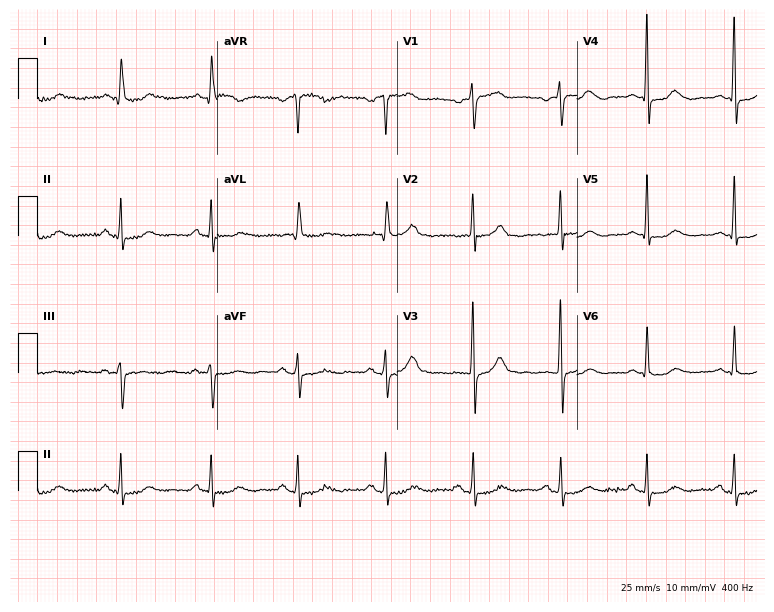
Electrocardiogram, a woman, 81 years old. Overall reading on record: normal ECG.